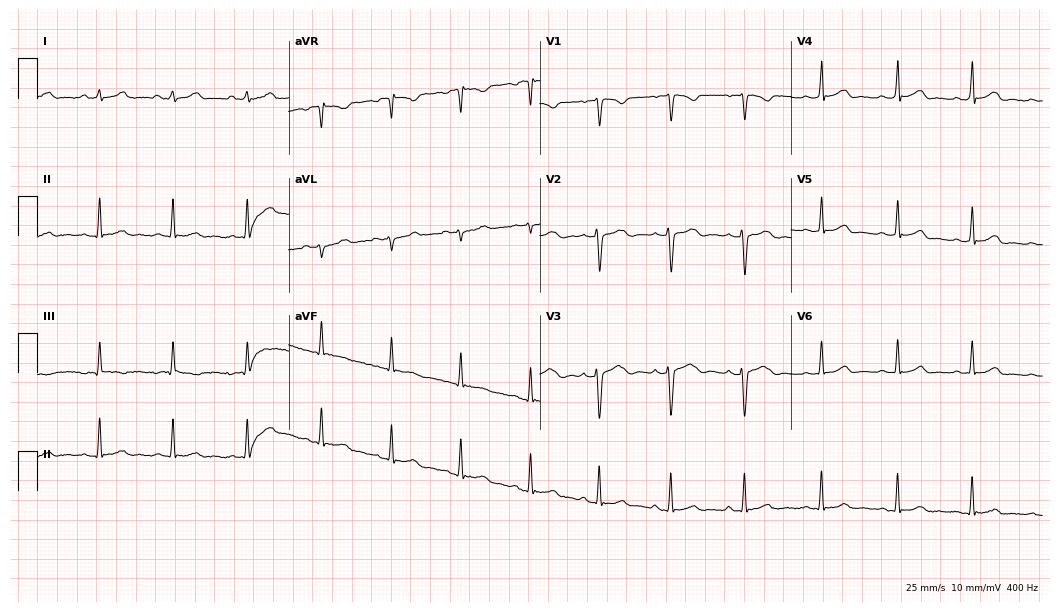
Resting 12-lead electrocardiogram. Patient: a woman, 21 years old. Read as a normal ECG.